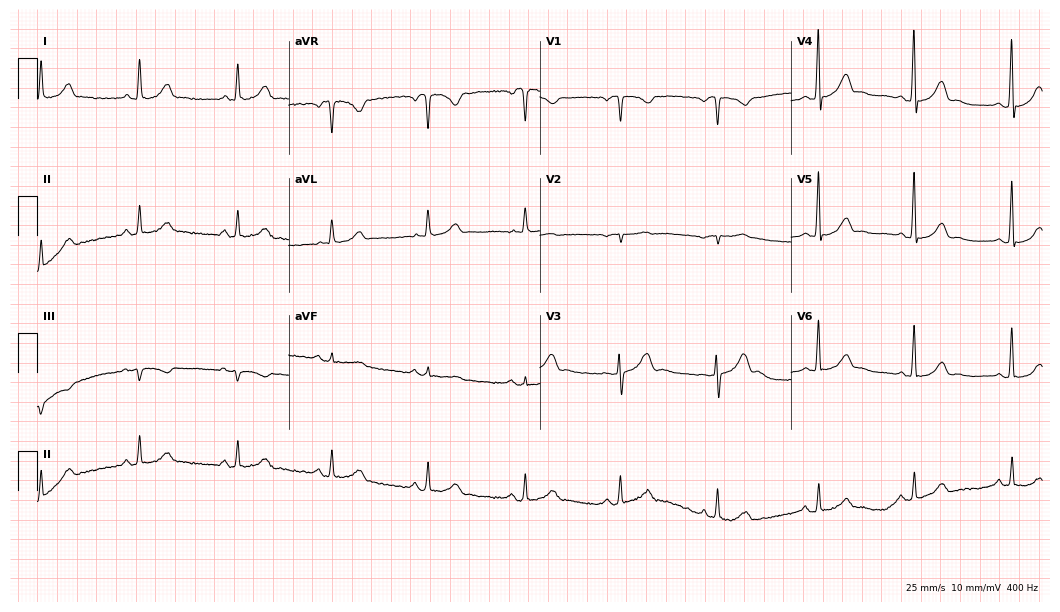
12-lead ECG from a female patient, 46 years old. Recorded interpretation: within normal limits.